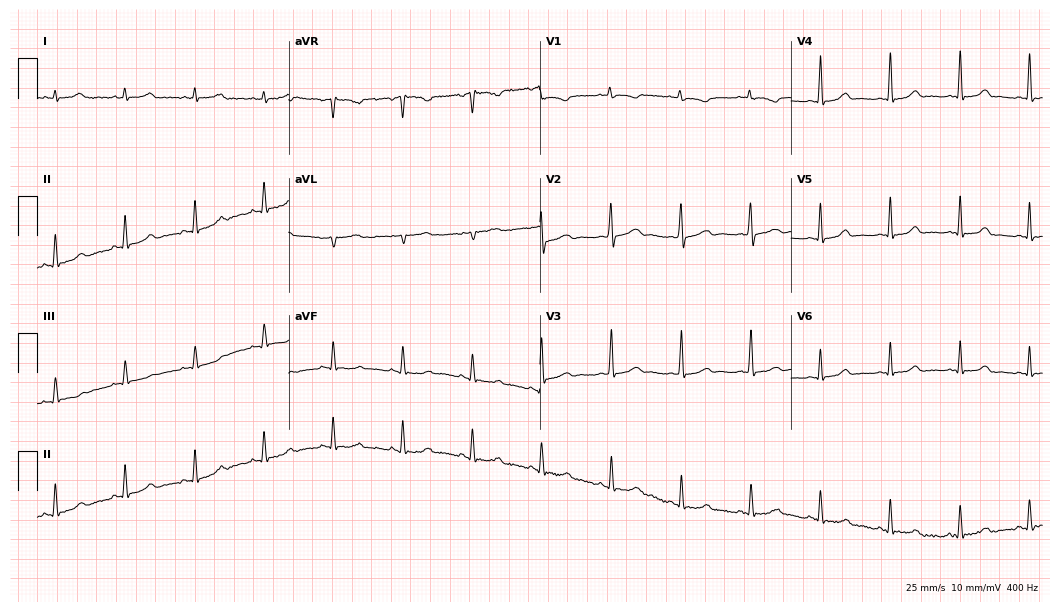
Electrocardiogram (10.2-second recording at 400 Hz), a 20-year-old female. Of the six screened findings (first-degree AV block, right bundle branch block, left bundle branch block, sinus bradycardia, atrial fibrillation, sinus tachycardia), none is recorded. Only these six findings were labelled.